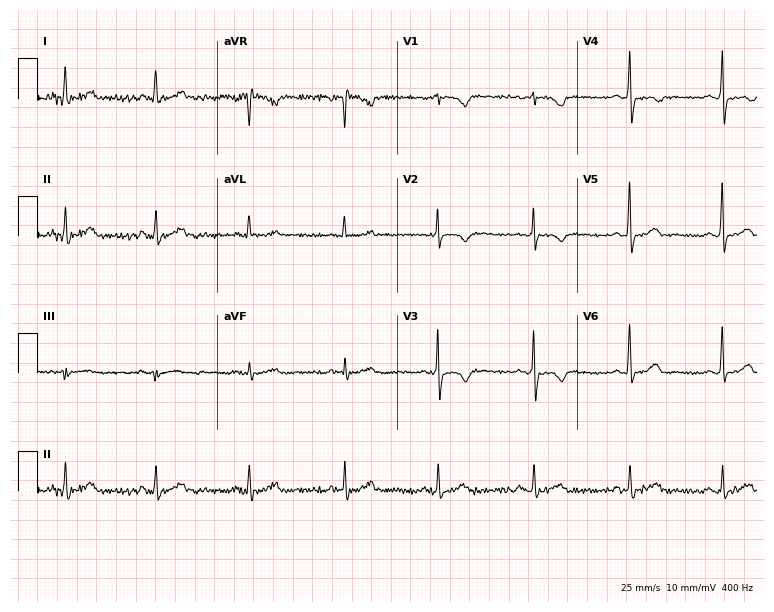
ECG (7.3-second recording at 400 Hz) — a 60-year-old woman. Labelled as a normal ECG.